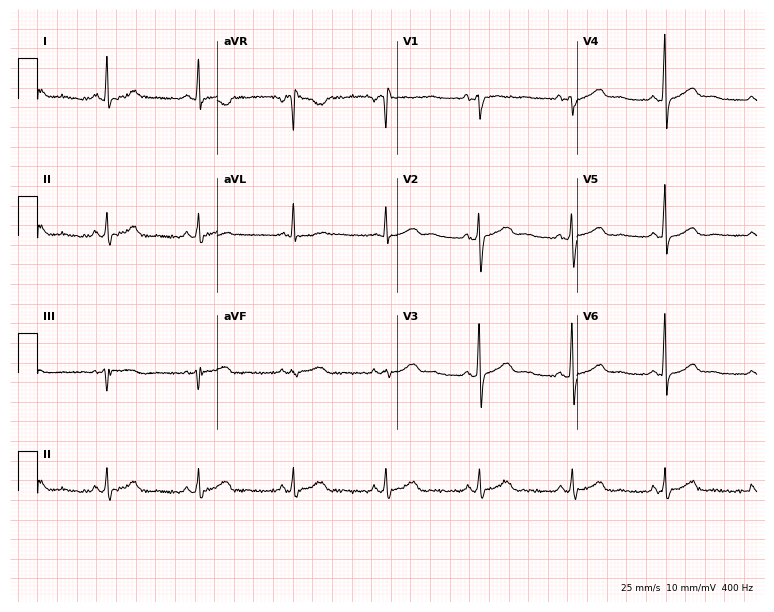
12-lead ECG from a female patient, 35 years old. No first-degree AV block, right bundle branch block (RBBB), left bundle branch block (LBBB), sinus bradycardia, atrial fibrillation (AF) or sinus tachycardia recorded for this tracing.